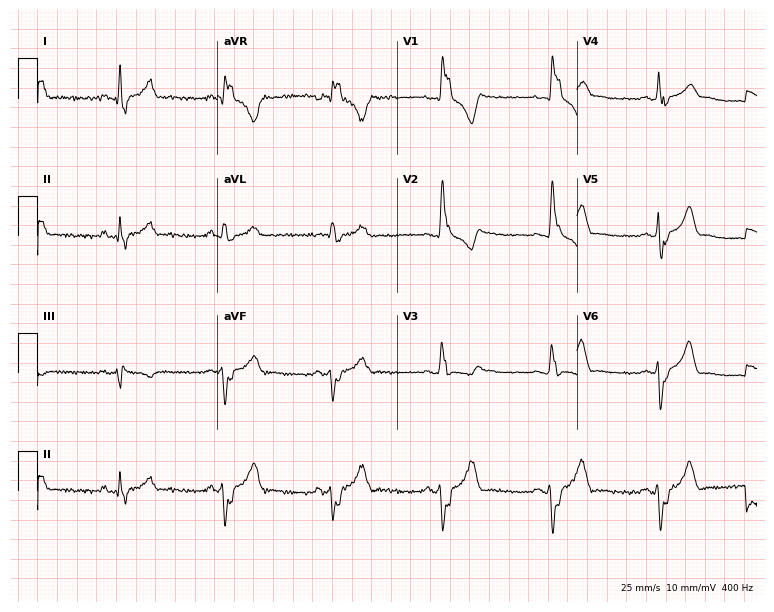
Electrocardiogram (7.3-second recording at 400 Hz), a 52-year-old female. Of the six screened findings (first-degree AV block, right bundle branch block, left bundle branch block, sinus bradycardia, atrial fibrillation, sinus tachycardia), none is recorded.